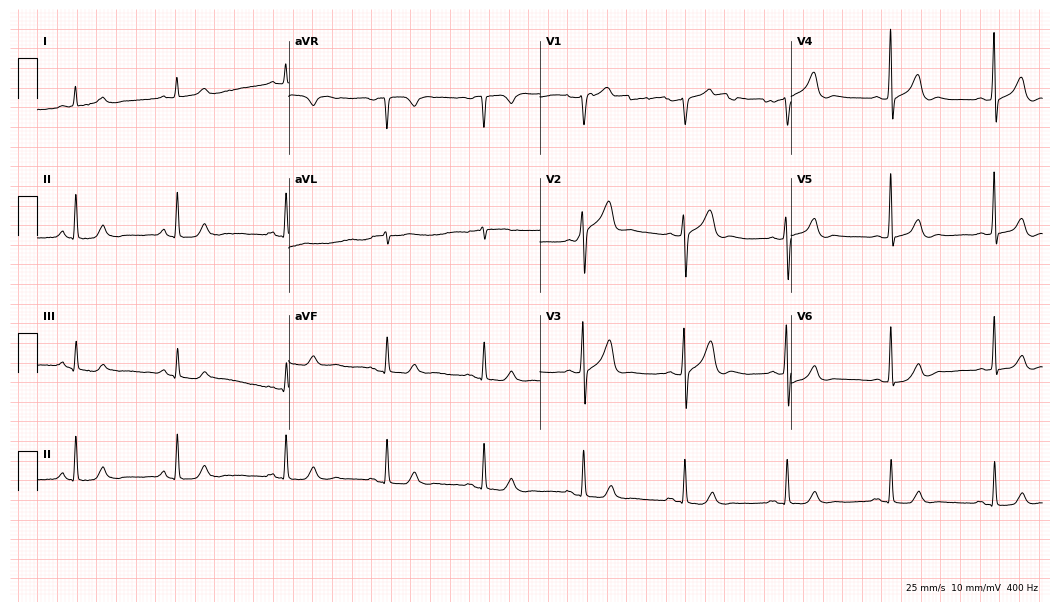
Standard 12-lead ECG recorded from a 64-year-old male patient (10.2-second recording at 400 Hz). Read as a normal ECG.